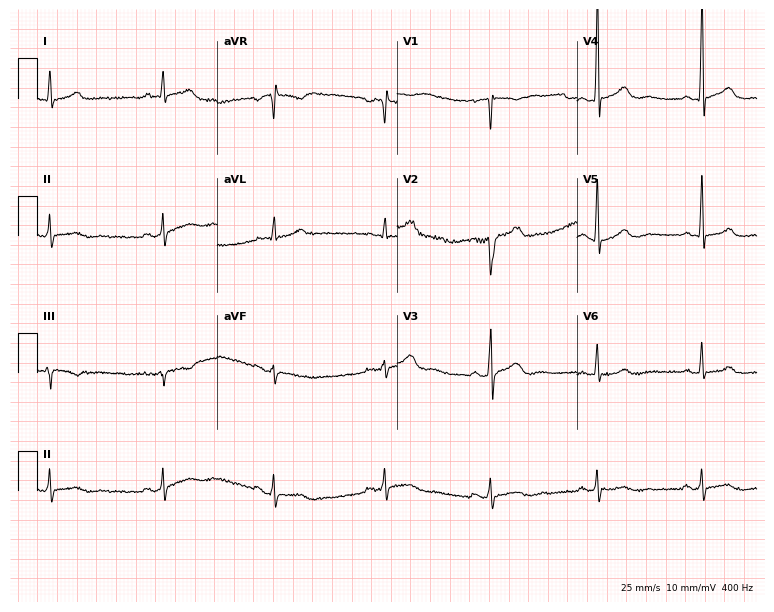
Standard 12-lead ECG recorded from a male, 44 years old (7.3-second recording at 400 Hz). Read as a normal ECG.